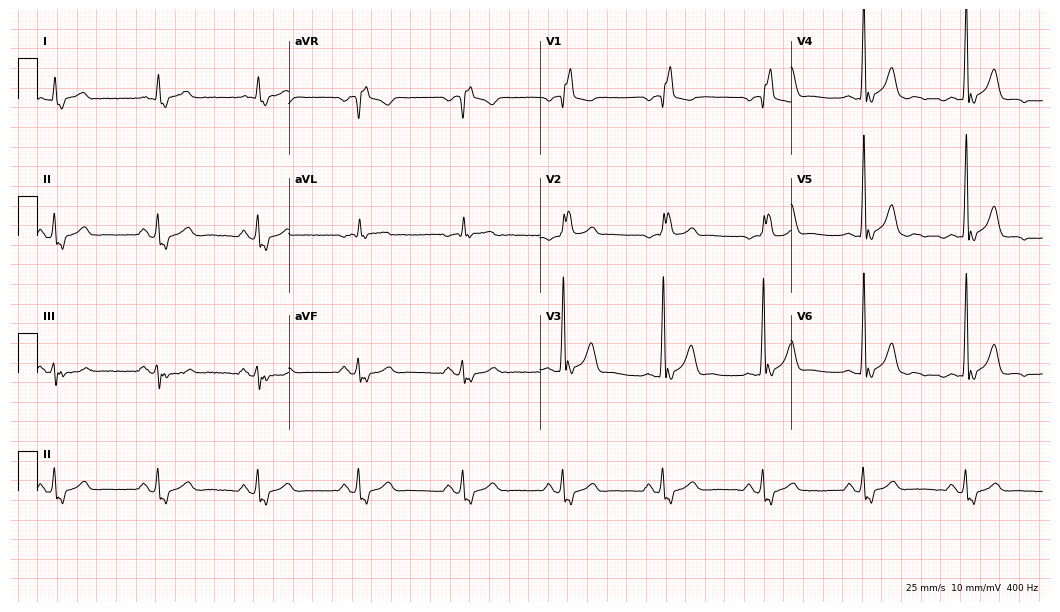
ECG (10.2-second recording at 400 Hz) — an 83-year-old male patient. Findings include right bundle branch block.